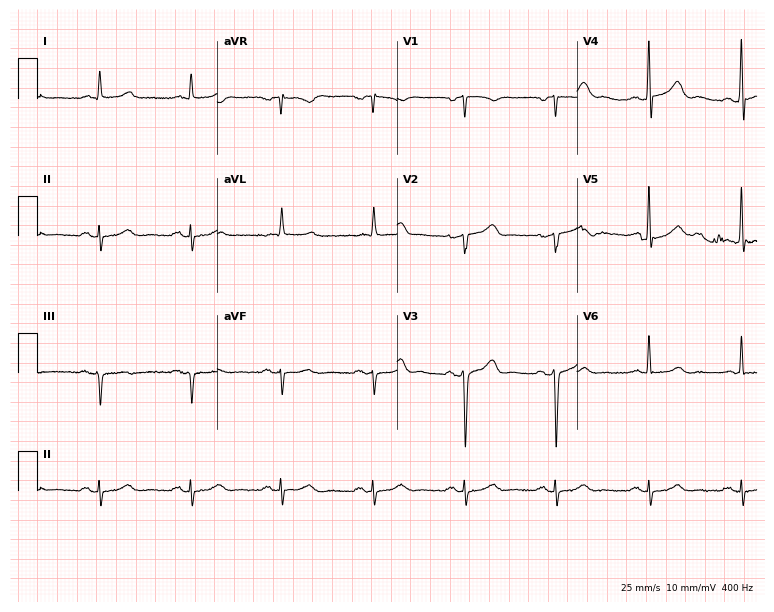
Resting 12-lead electrocardiogram (7.3-second recording at 400 Hz). Patient: a 70-year-old man. None of these six findings is recorded: first-degree AV block, right bundle branch block, left bundle branch block, sinus bradycardia, atrial fibrillation, sinus tachycardia.